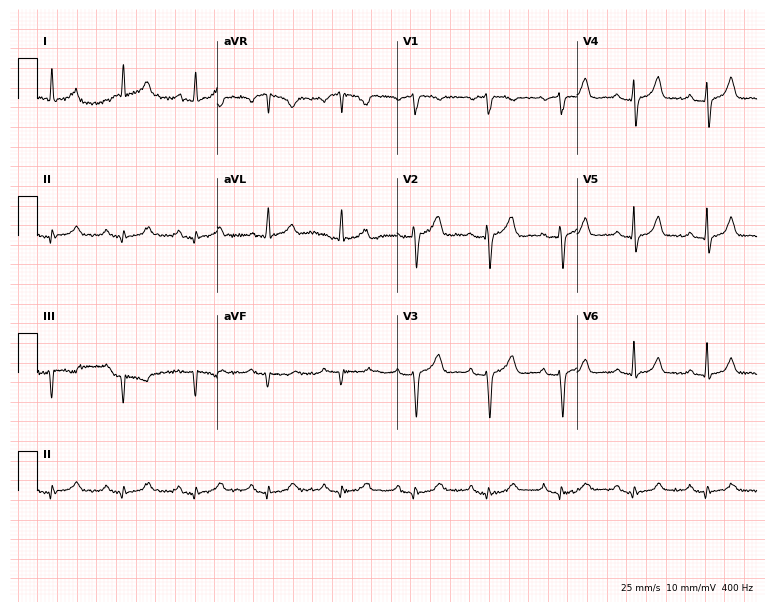
Electrocardiogram (7.3-second recording at 400 Hz), a 76-year-old woman. Of the six screened findings (first-degree AV block, right bundle branch block, left bundle branch block, sinus bradycardia, atrial fibrillation, sinus tachycardia), none is recorded. Other findings, if any, are not listed.